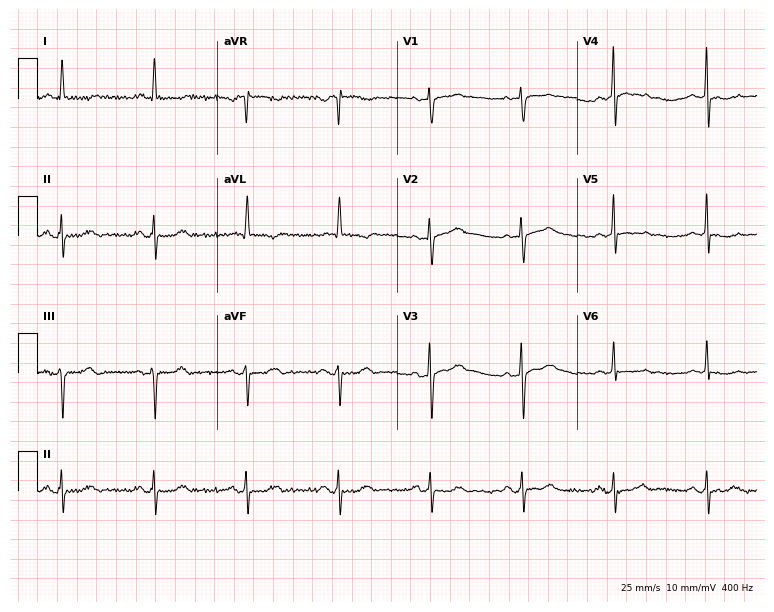
Standard 12-lead ECG recorded from a woman, 76 years old. Read as a normal ECG.